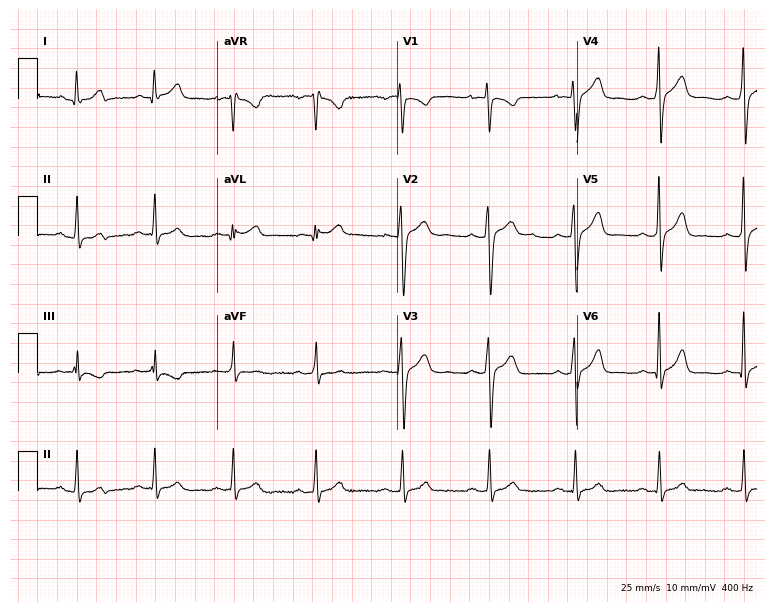
Standard 12-lead ECG recorded from a man, 30 years old. Read as a normal ECG.